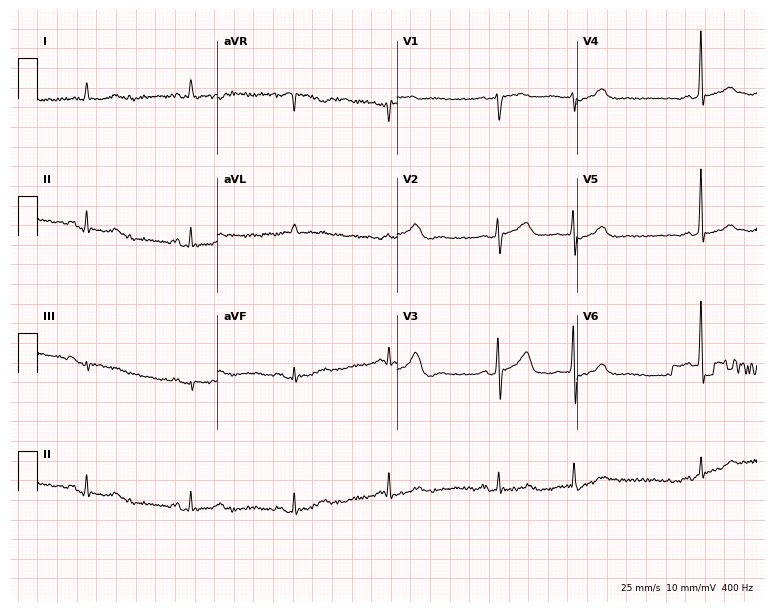
Resting 12-lead electrocardiogram (7.3-second recording at 400 Hz). Patient: a female, 82 years old. None of these six findings is recorded: first-degree AV block, right bundle branch block, left bundle branch block, sinus bradycardia, atrial fibrillation, sinus tachycardia. Only these six findings were labelled.